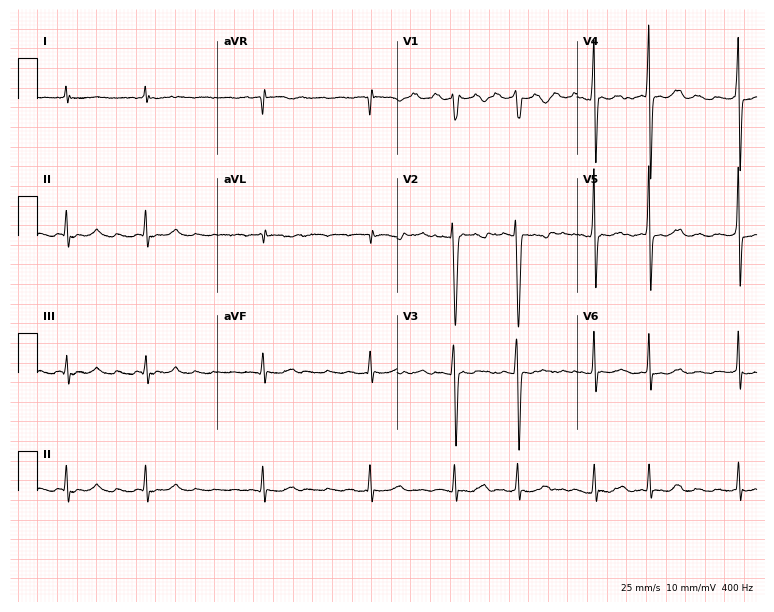
Standard 12-lead ECG recorded from a female patient, 49 years old (7.3-second recording at 400 Hz). None of these six findings is recorded: first-degree AV block, right bundle branch block, left bundle branch block, sinus bradycardia, atrial fibrillation, sinus tachycardia. Other findings, if any, are not listed.